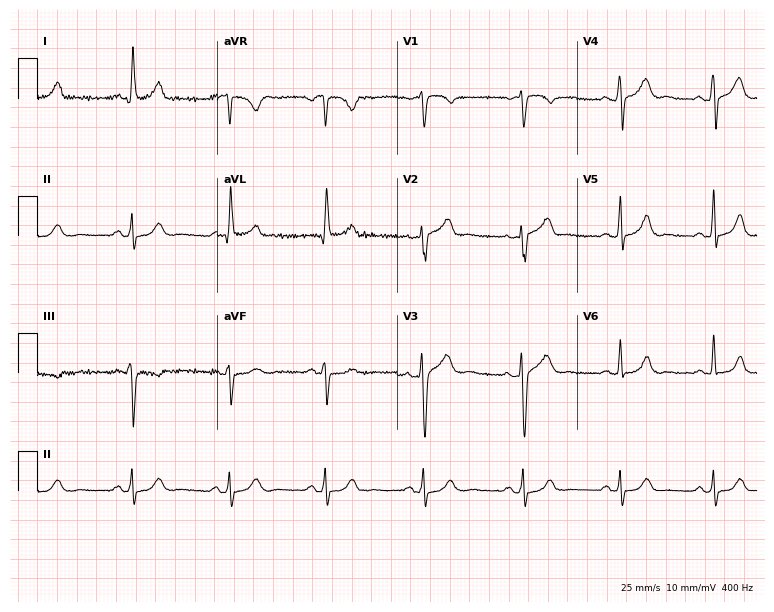
12-lead ECG (7.3-second recording at 400 Hz) from a 50-year-old woman. Labelled as a normal ECG.